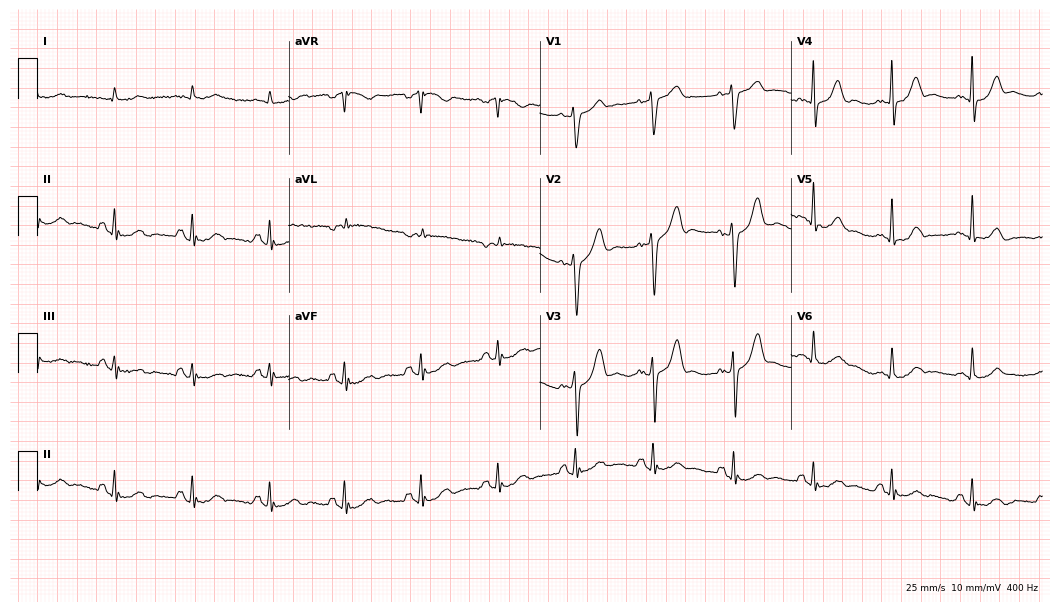
Electrocardiogram (10.2-second recording at 400 Hz), a male, 78 years old. Of the six screened findings (first-degree AV block, right bundle branch block (RBBB), left bundle branch block (LBBB), sinus bradycardia, atrial fibrillation (AF), sinus tachycardia), none is recorded.